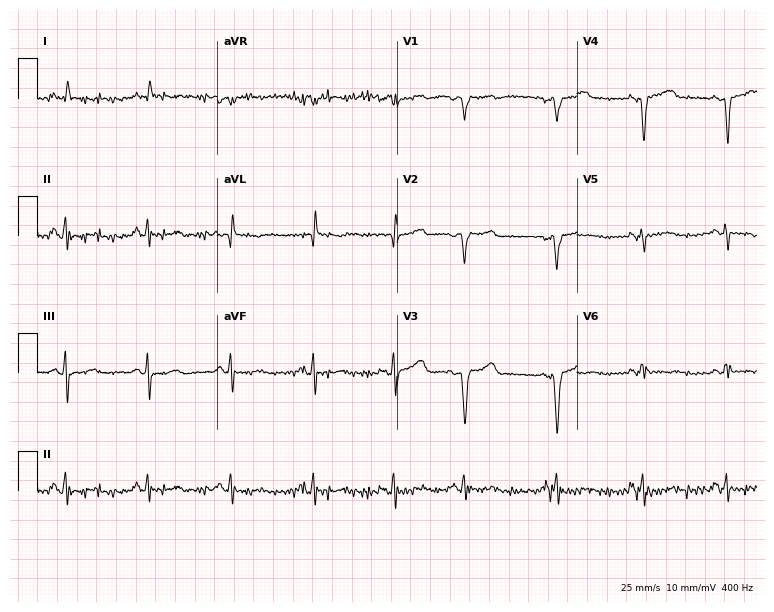
ECG — a 66-year-old female. Screened for six findings — first-degree AV block, right bundle branch block, left bundle branch block, sinus bradycardia, atrial fibrillation, sinus tachycardia — none is recorded.